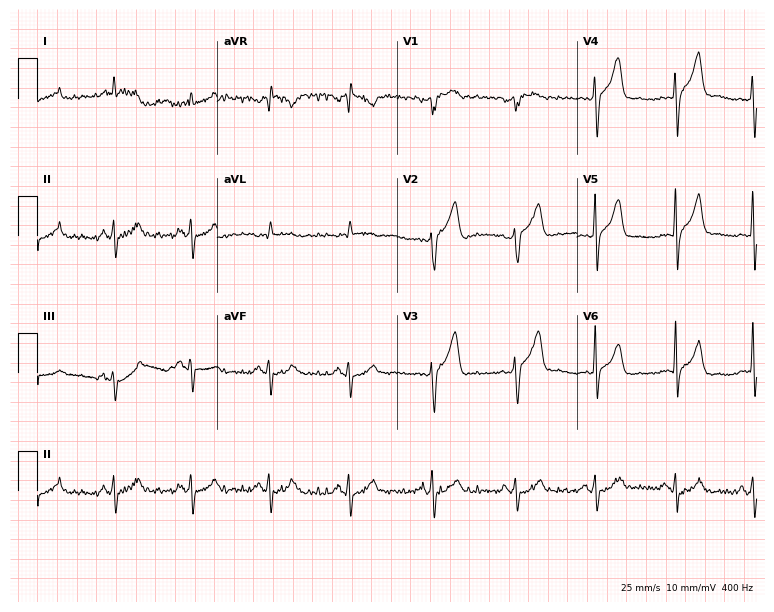
ECG (7.3-second recording at 400 Hz) — a 47-year-old male patient. Screened for six findings — first-degree AV block, right bundle branch block, left bundle branch block, sinus bradycardia, atrial fibrillation, sinus tachycardia — none is recorded. Other findings, if any, are not listed.